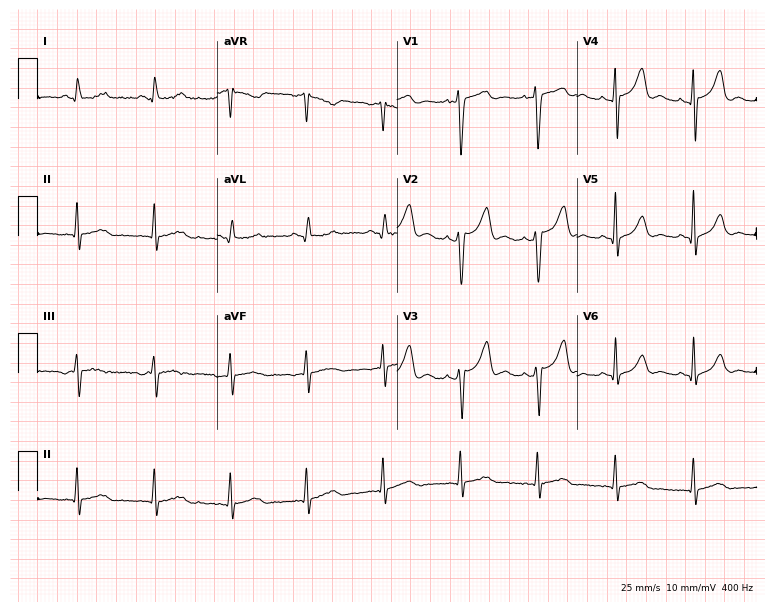
ECG — a male patient, 33 years old. Screened for six findings — first-degree AV block, right bundle branch block, left bundle branch block, sinus bradycardia, atrial fibrillation, sinus tachycardia — none is recorded. Findings outside these six are not listed.